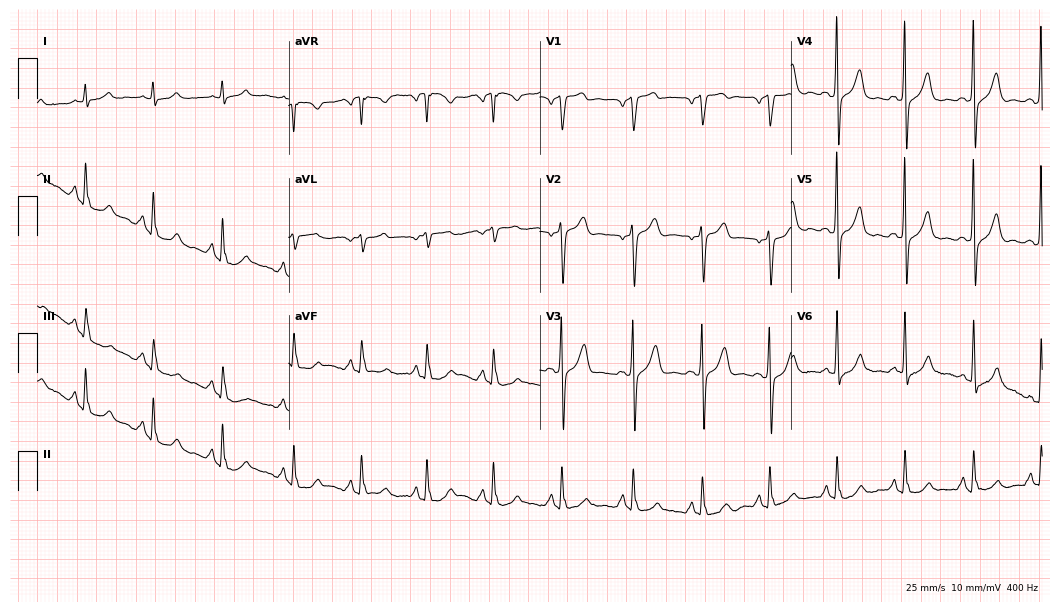
Standard 12-lead ECG recorded from a male patient, 58 years old (10.2-second recording at 400 Hz). Read as a normal ECG.